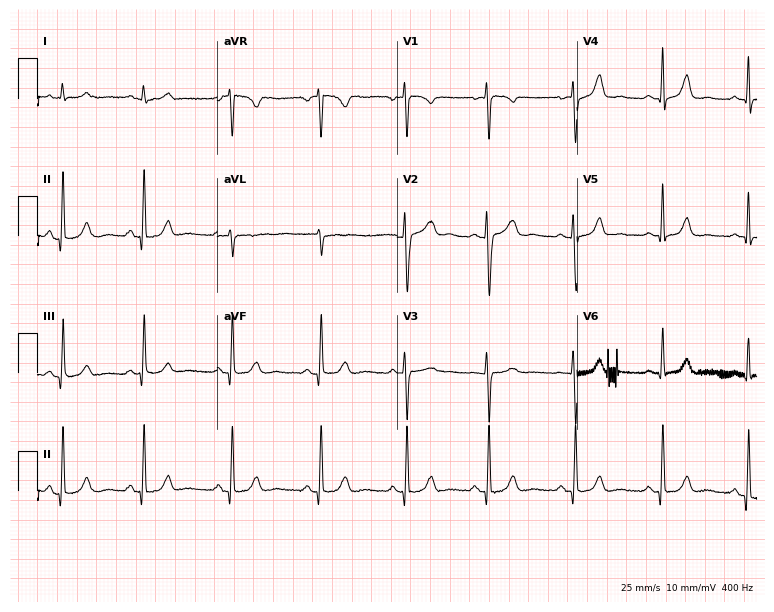
12-lead ECG (7.3-second recording at 400 Hz) from a 38-year-old female. Screened for six findings — first-degree AV block, right bundle branch block, left bundle branch block, sinus bradycardia, atrial fibrillation, sinus tachycardia — none is recorded.